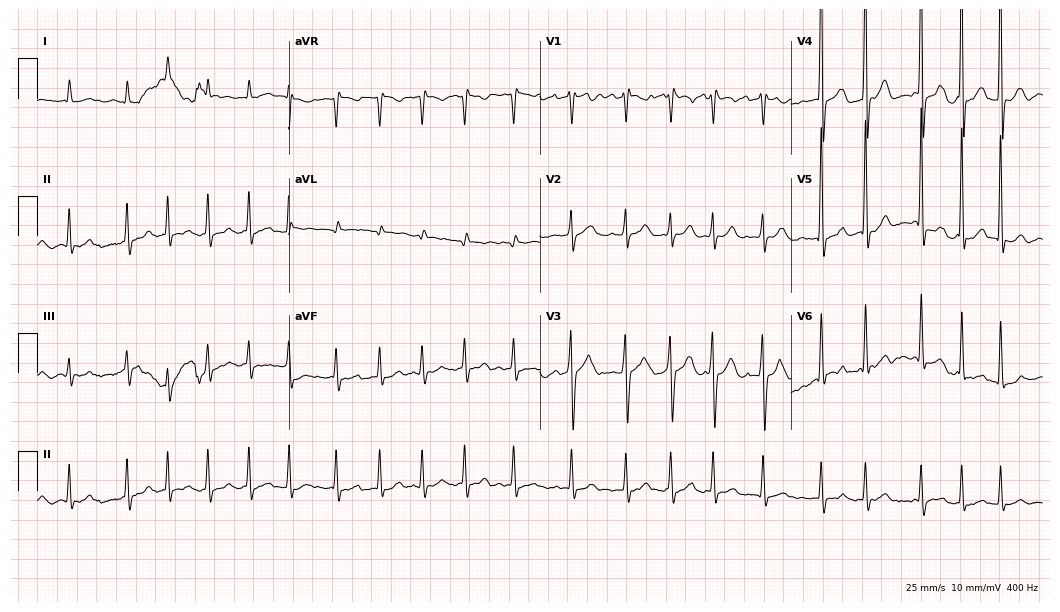
ECG (10.2-second recording at 400 Hz) — an 80-year-old male patient. Findings include atrial fibrillation (AF).